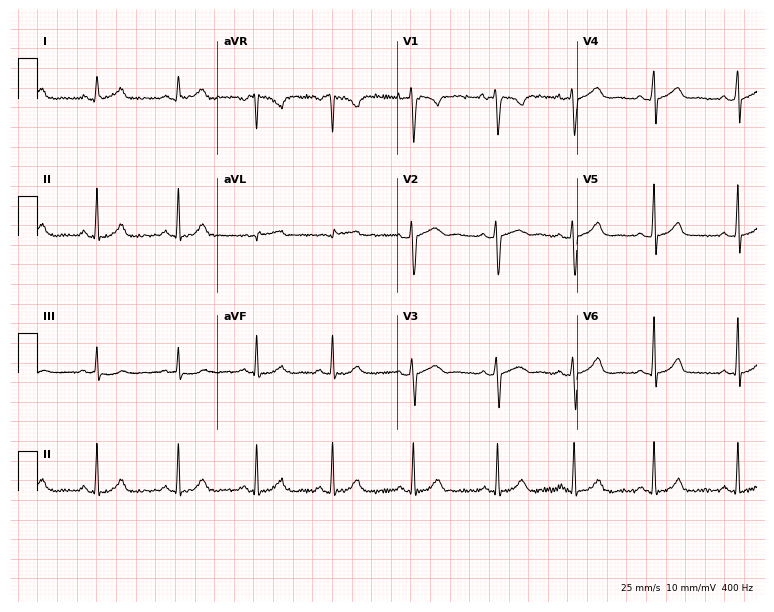
12-lead ECG from a female, 23 years old (7.3-second recording at 400 Hz). Recorded interpretation: within normal limits.